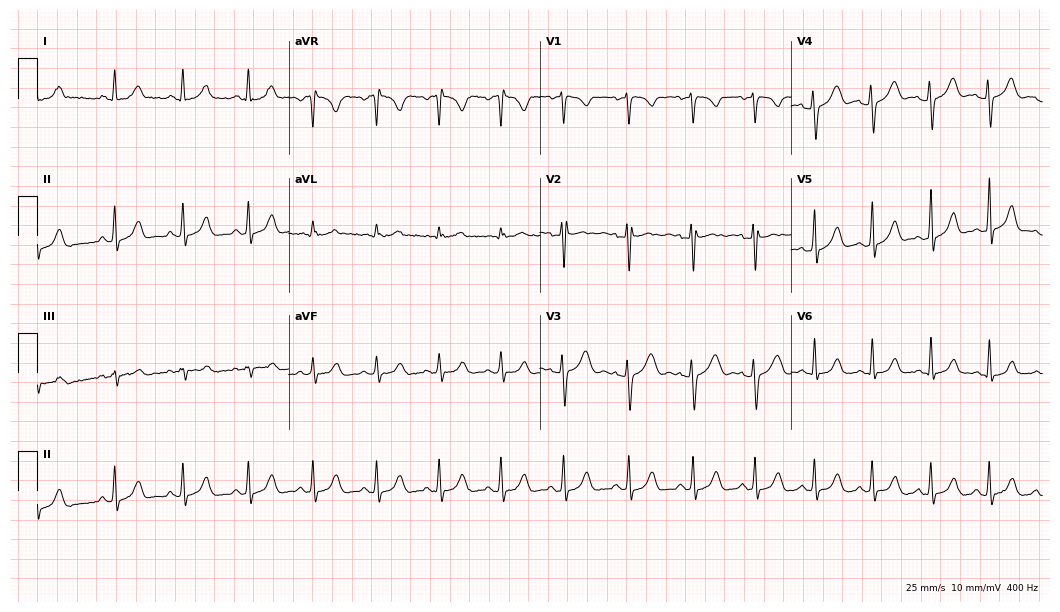
12-lead ECG (10.2-second recording at 400 Hz) from a woman, 21 years old. Screened for six findings — first-degree AV block, right bundle branch block (RBBB), left bundle branch block (LBBB), sinus bradycardia, atrial fibrillation (AF), sinus tachycardia — none is recorded. Only these six findings were labelled.